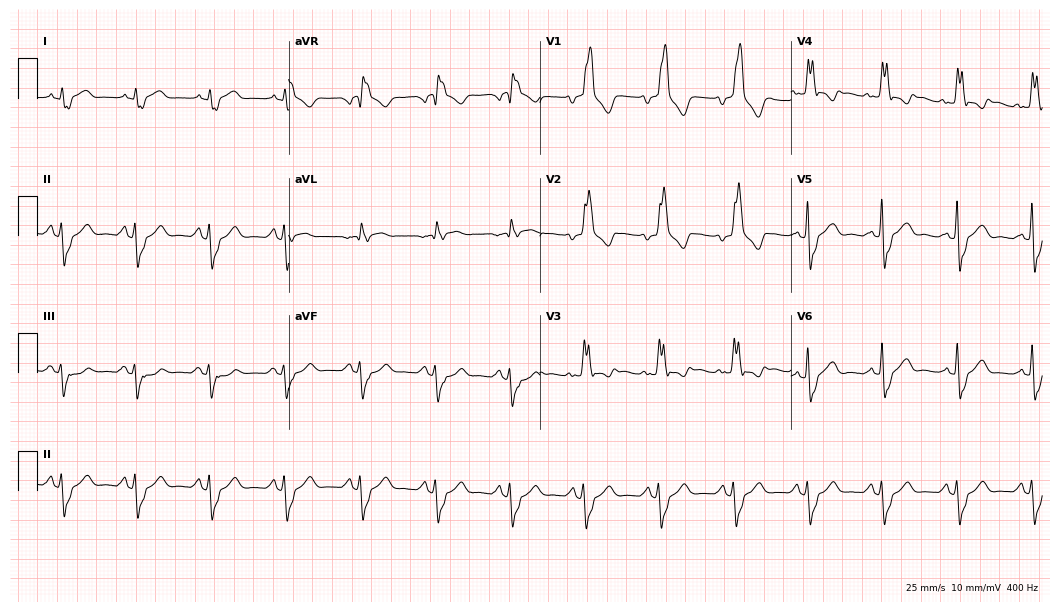
ECG (10.2-second recording at 400 Hz) — a 55-year-old male patient. Findings include right bundle branch block (RBBB).